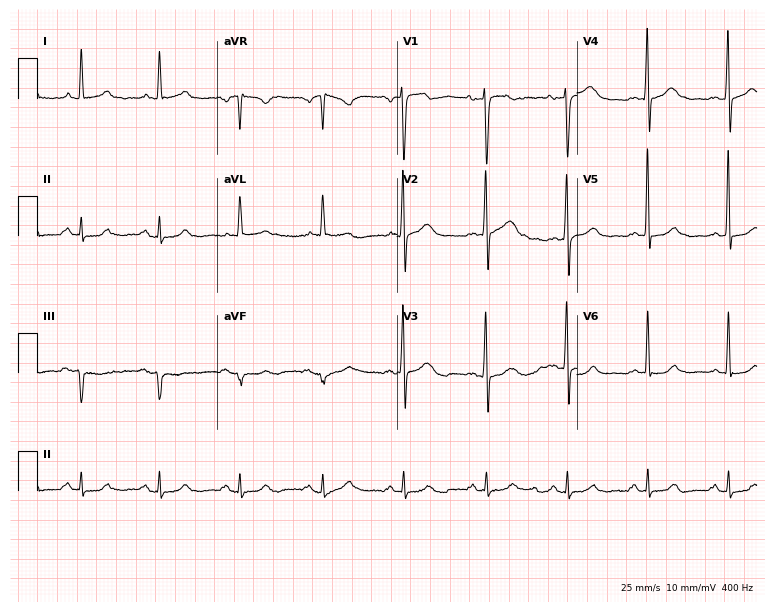
12-lead ECG from a male patient, 58 years old. Recorded interpretation: within normal limits.